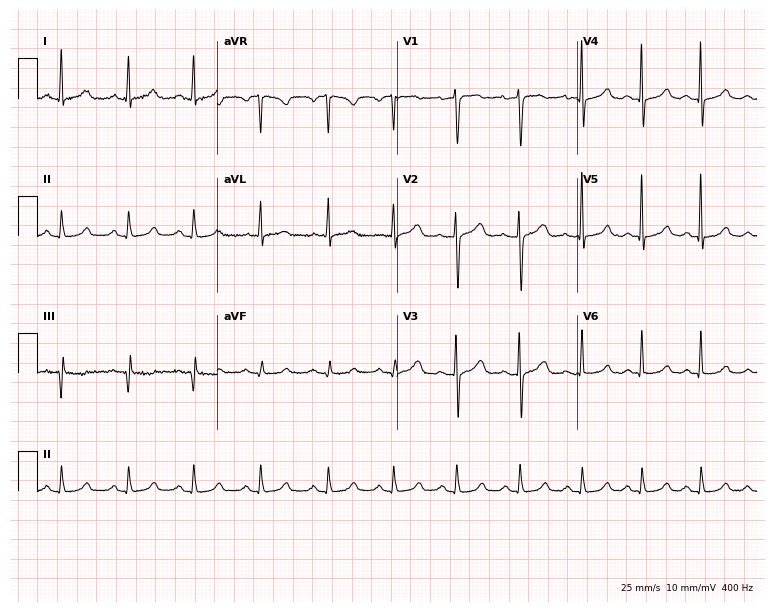
Standard 12-lead ECG recorded from a 46-year-old female patient (7.3-second recording at 400 Hz). Read as a normal ECG.